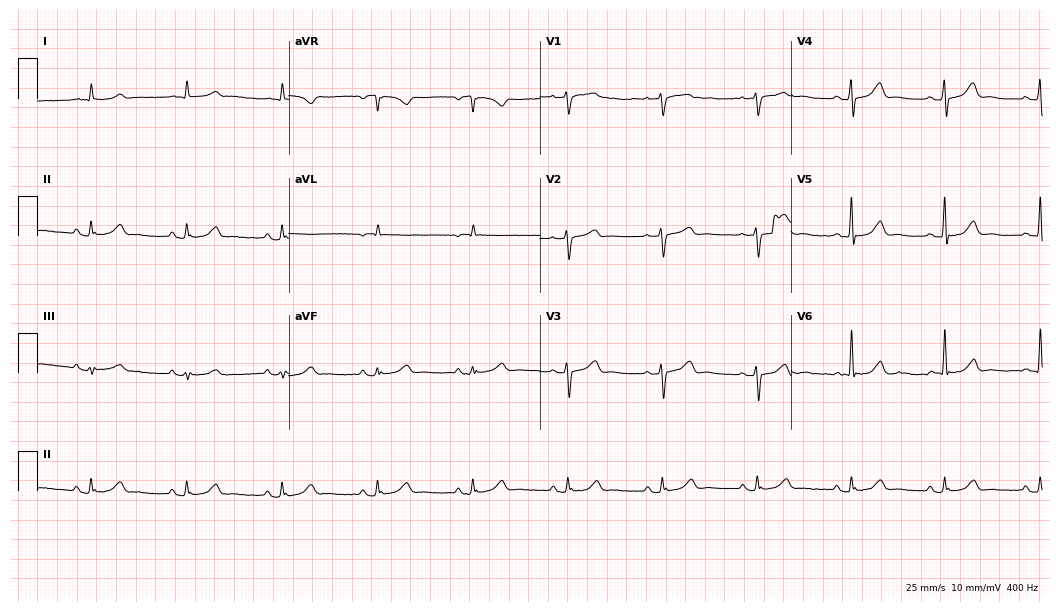
12-lead ECG from an 82-year-old man (10.2-second recording at 400 Hz). Recorded interpretation: within normal limits.